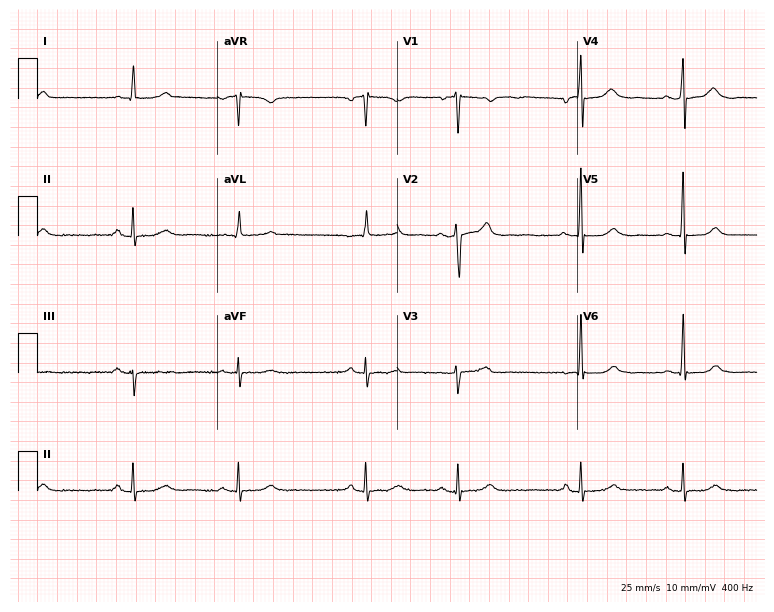
Standard 12-lead ECG recorded from a 62-year-old male patient. None of these six findings is recorded: first-degree AV block, right bundle branch block, left bundle branch block, sinus bradycardia, atrial fibrillation, sinus tachycardia.